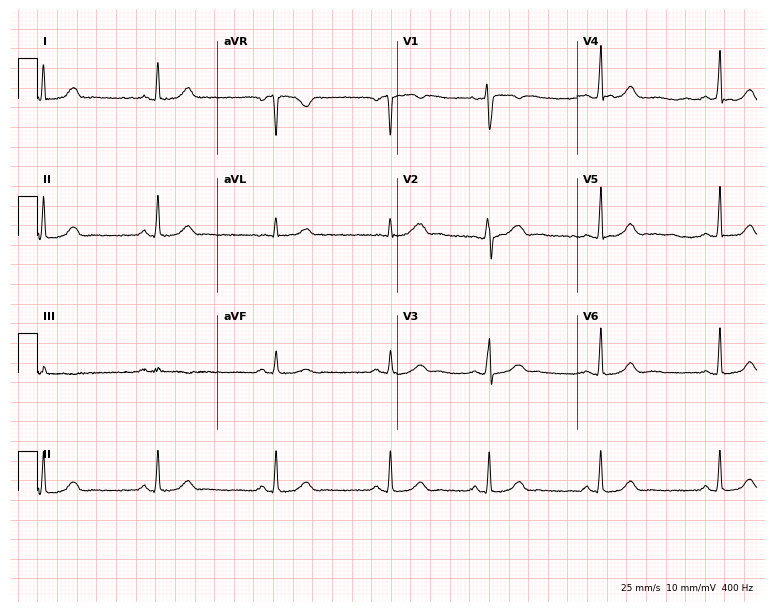
12-lead ECG from a 30-year-old female (7.3-second recording at 400 Hz). Recorded interpretation: within normal limits.